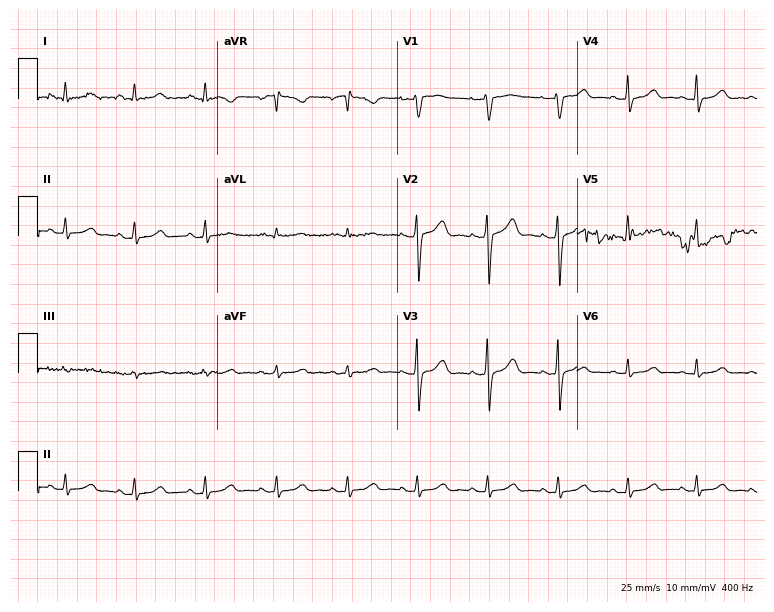
ECG — a 52-year-old female patient. Labelled as a normal ECG.